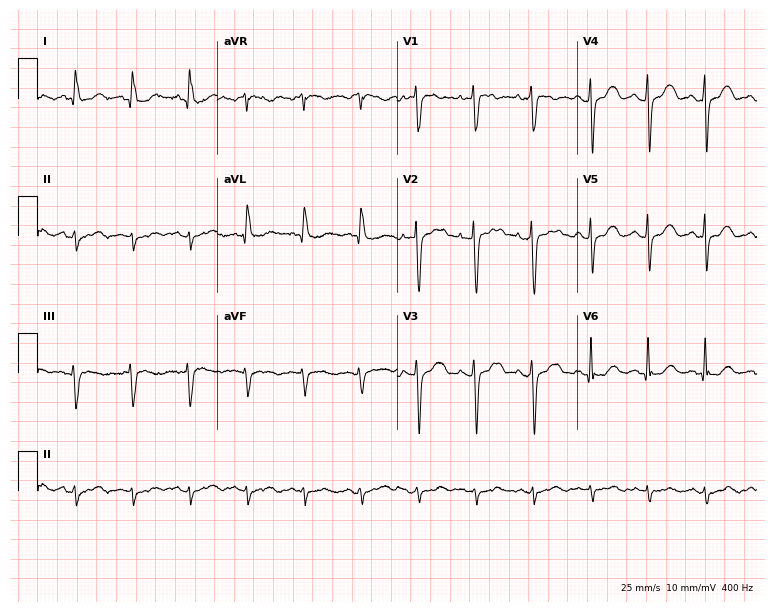
Electrocardiogram, a 60-year-old female patient. Interpretation includes sinus tachycardia (a sinus rate of 100 beats per minute or more).